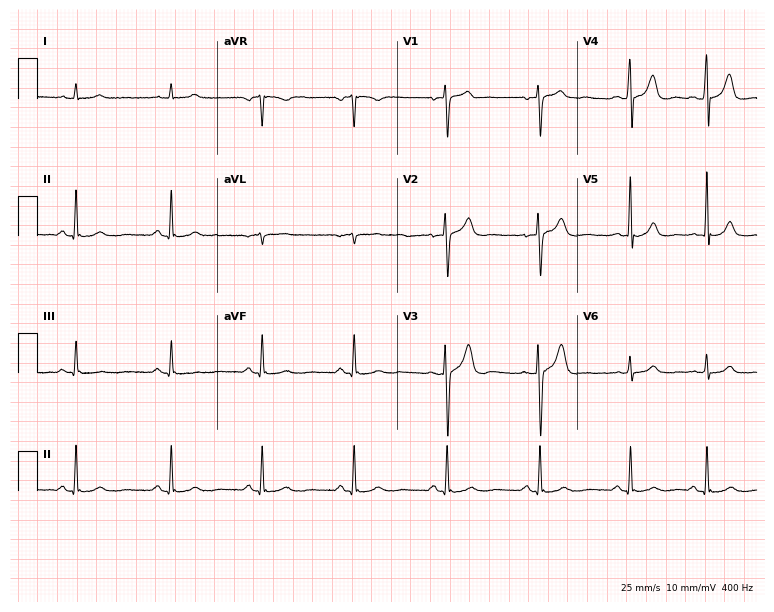
Resting 12-lead electrocardiogram (7.3-second recording at 400 Hz). Patient: a 44-year-old male. None of these six findings is recorded: first-degree AV block, right bundle branch block, left bundle branch block, sinus bradycardia, atrial fibrillation, sinus tachycardia. Findings outside these six are not listed.